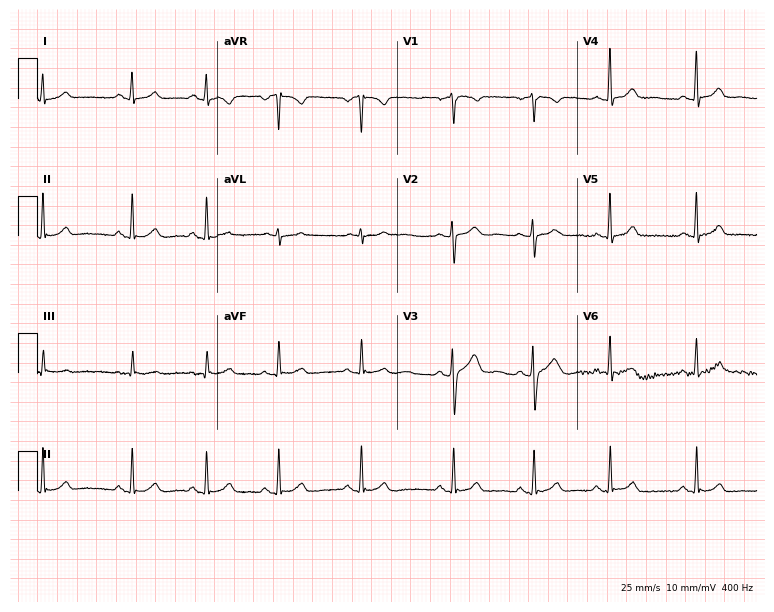
ECG — a female patient, 22 years old. Labelled as a normal ECG.